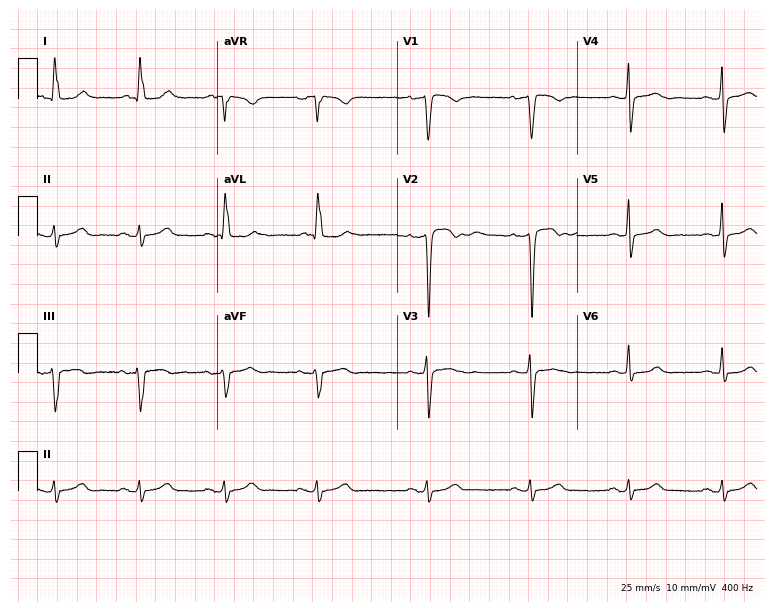
ECG (7.3-second recording at 400 Hz) — a female, 60 years old. Labelled as a normal ECG.